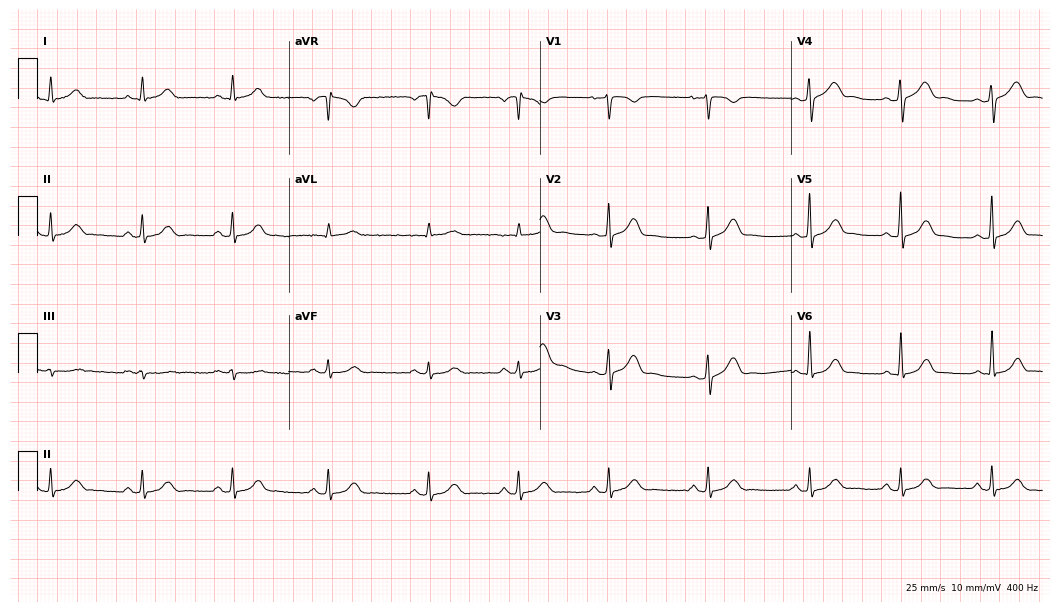
Standard 12-lead ECG recorded from a woman, 34 years old (10.2-second recording at 400 Hz). None of these six findings is recorded: first-degree AV block, right bundle branch block (RBBB), left bundle branch block (LBBB), sinus bradycardia, atrial fibrillation (AF), sinus tachycardia. Findings outside these six are not listed.